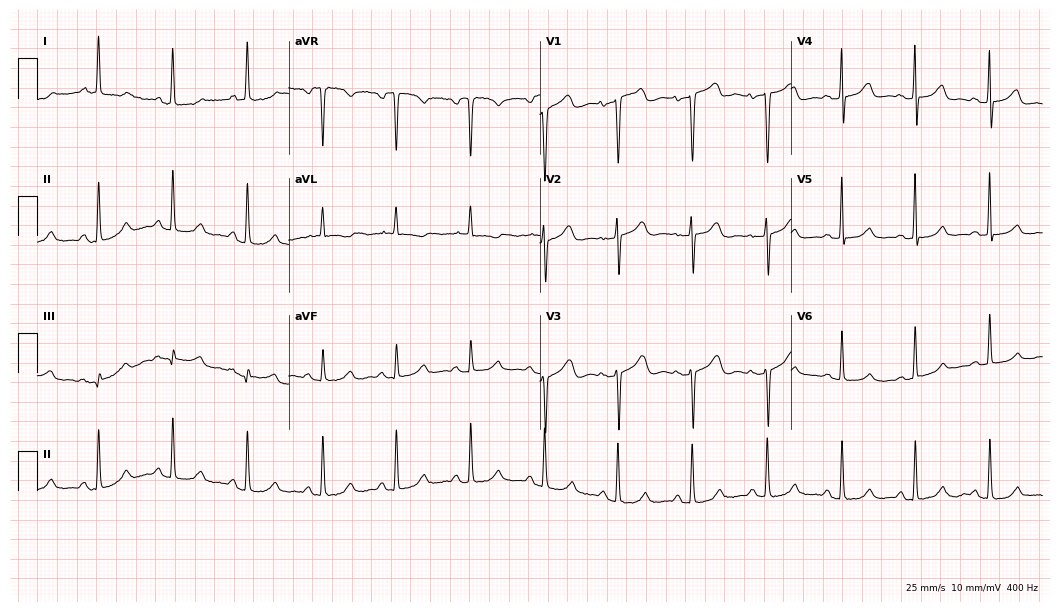
12-lead ECG from a 59-year-old female patient. Screened for six findings — first-degree AV block, right bundle branch block, left bundle branch block, sinus bradycardia, atrial fibrillation, sinus tachycardia — none is recorded.